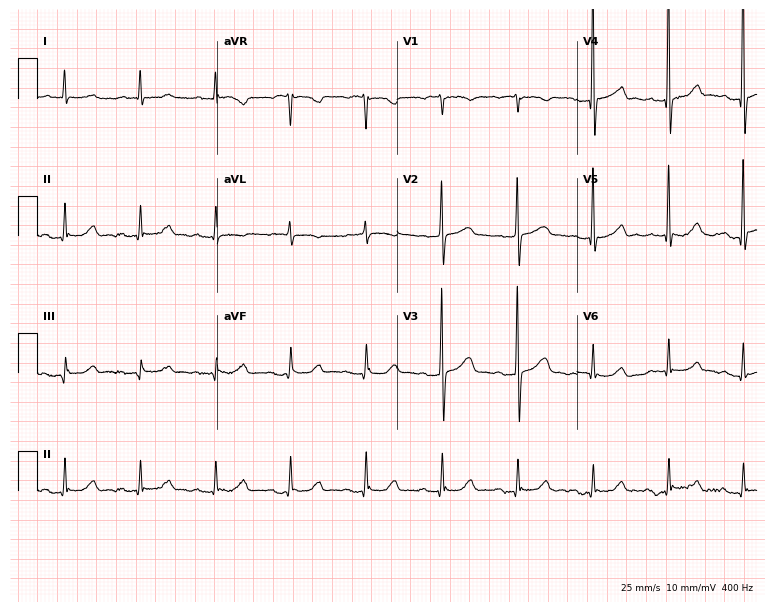
12-lead ECG (7.3-second recording at 400 Hz) from a 78-year-old female patient. Labelled as a normal ECG.